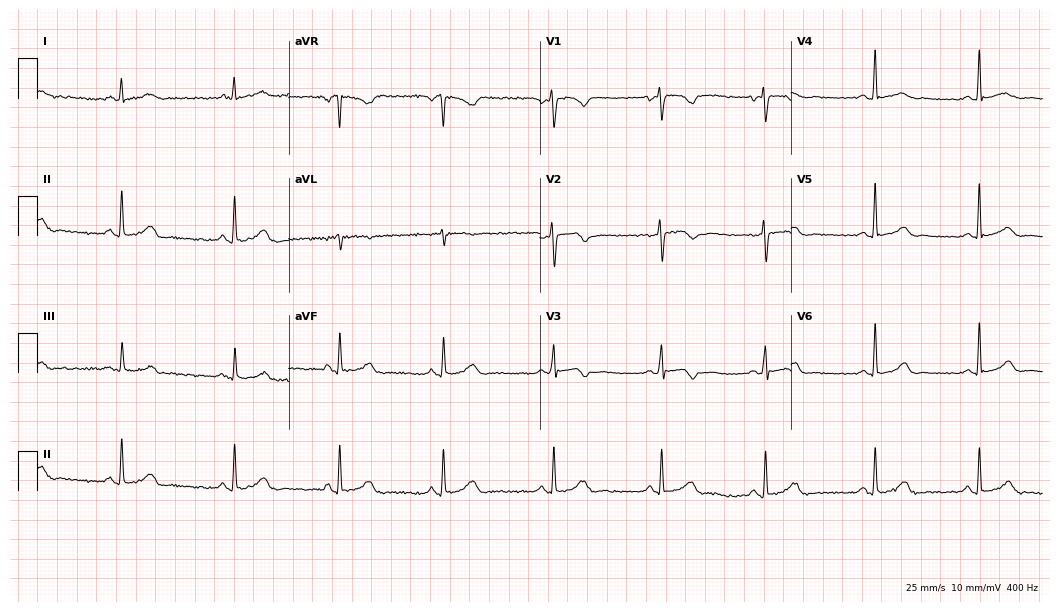
ECG — a 31-year-old female patient. Screened for six findings — first-degree AV block, right bundle branch block (RBBB), left bundle branch block (LBBB), sinus bradycardia, atrial fibrillation (AF), sinus tachycardia — none is recorded.